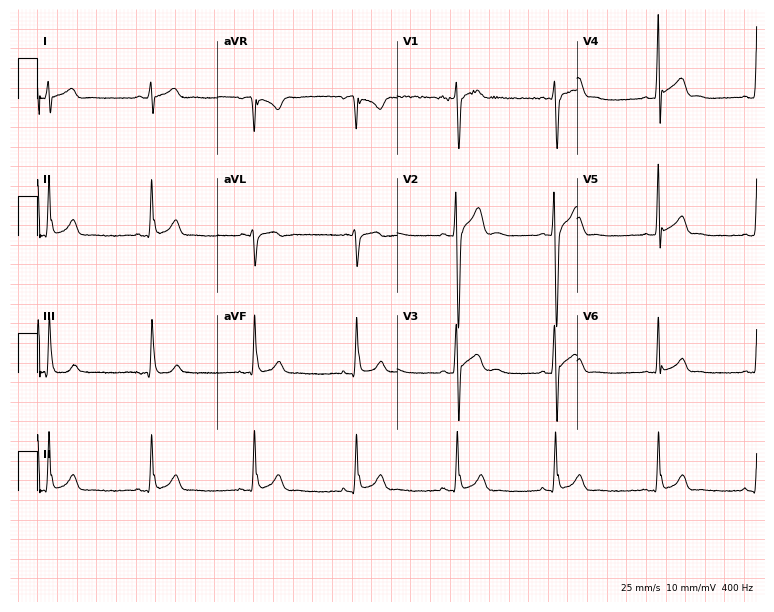
ECG — a male, 24 years old. Screened for six findings — first-degree AV block, right bundle branch block, left bundle branch block, sinus bradycardia, atrial fibrillation, sinus tachycardia — none is recorded. Only these six findings were labelled.